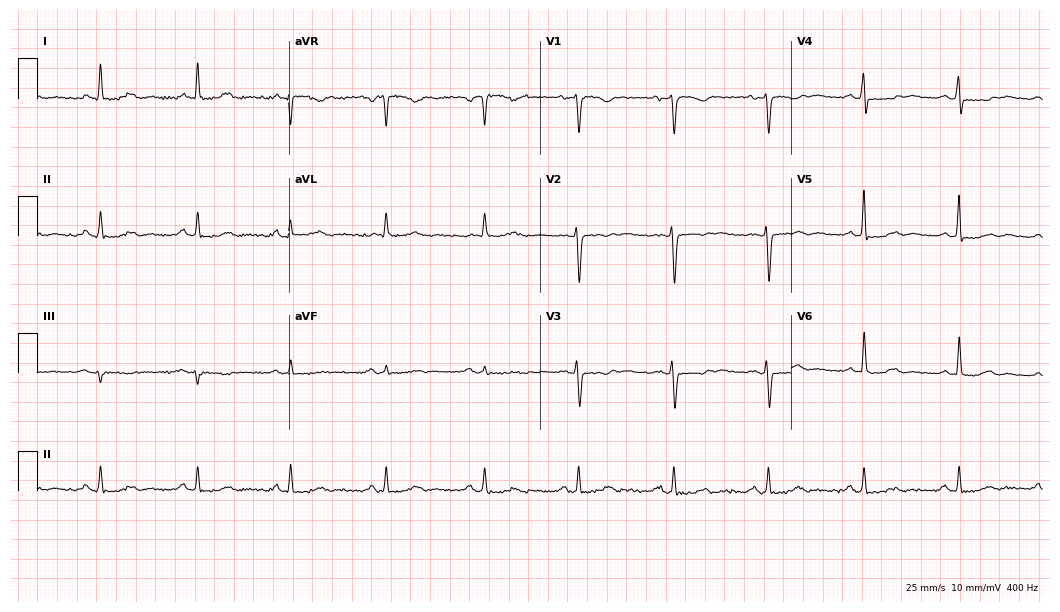
12-lead ECG from a 45-year-old woman (10.2-second recording at 400 Hz). No first-degree AV block, right bundle branch block (RBBB), left bundle branch block (LBBB), sinus bradycardia, atrial fibrillation (AF) or sinus tachycardia recorded for this tracing. Findings outside these six are not listed.